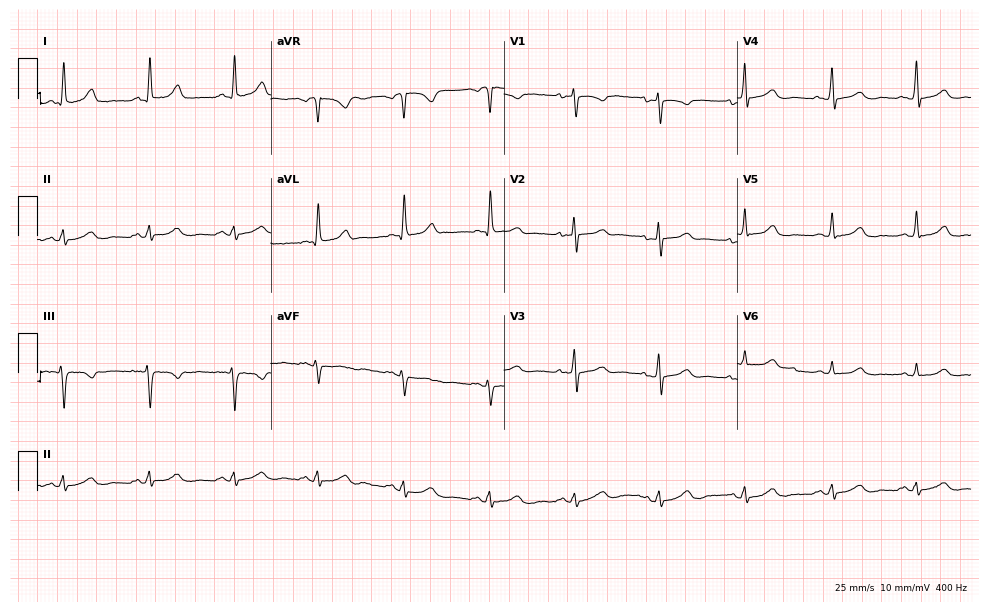
Resting 12-lead electrocardiogram. Patient: a female, 48 years old. None of these six findings is recorded: first-degree AV block, right bundle branch block, left bundle branch block, sinus bradycardia, atrial fibrillation, sinus tachycardia.